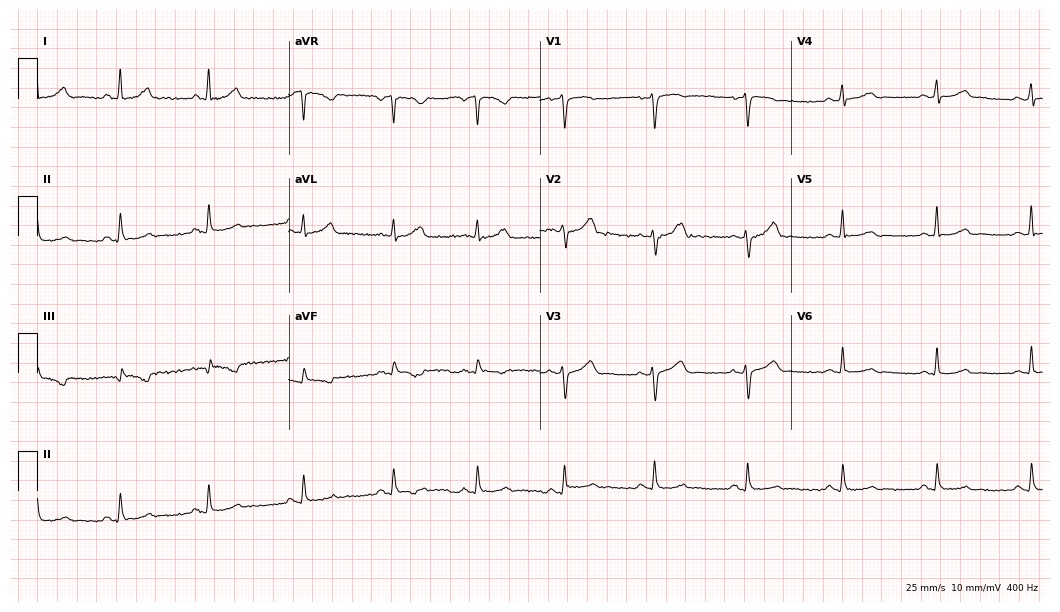
12-lead ECG from a female patient, 38 years old. Recorded interpretation: within normal limits.